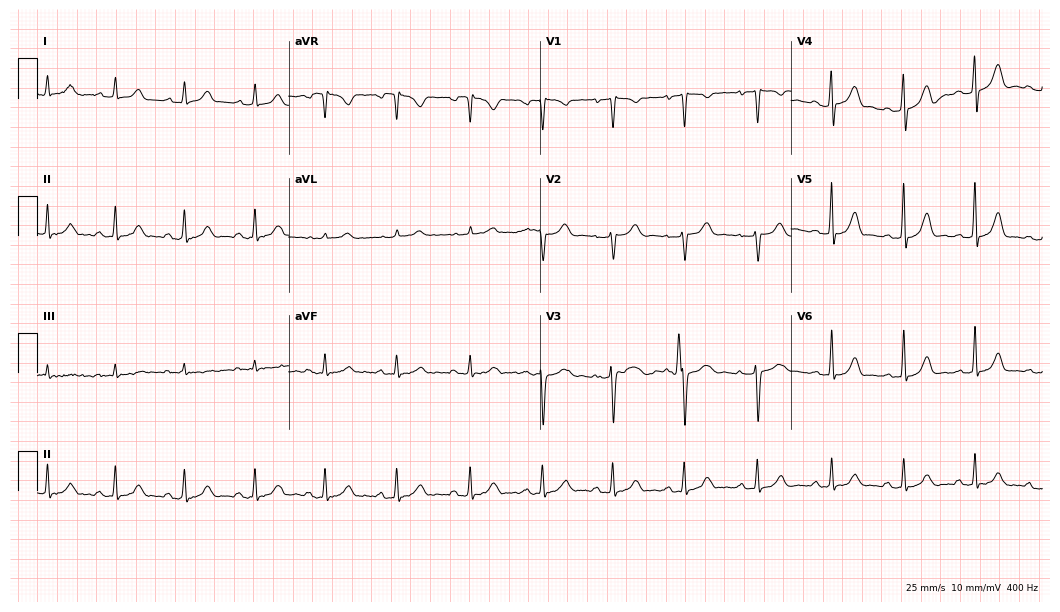
ECG (10.2-second recording at 400 Hz) — a female patient, 18 years old. Labelled as a normal ECG.